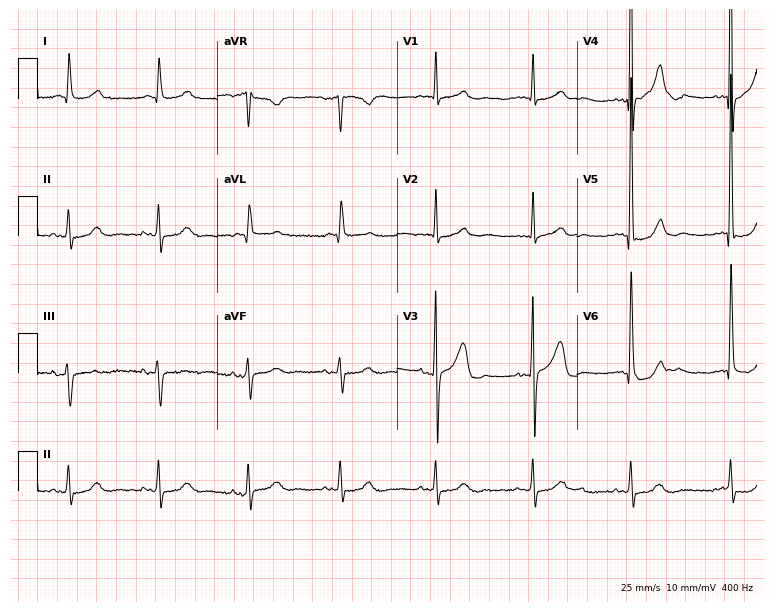
Electrocardiogram (7.3-second recording at 400 Hz), a 72-year-old male patient. Of the six screened findings (first-degree AV block, right bundle branch block (RBBB), left bundle branch block (LBBB), sinus bradycardia, atrial fibrillation (AF), sinus tachycardia), none is recorded. Only these six findings were labelled.